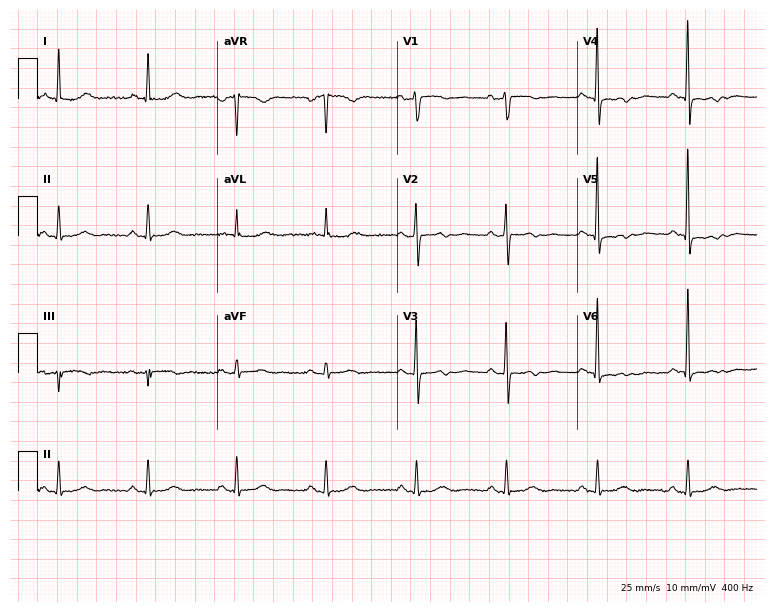
12-lead ECG from a male, 66 years old. Screened for six findings — first-degree AV block, right bundle branch block, left bundle branch block, sinus bradycardia, atrial fibrillation, sinus tachycardia — none is recorded. Findings outside these six are not listed.